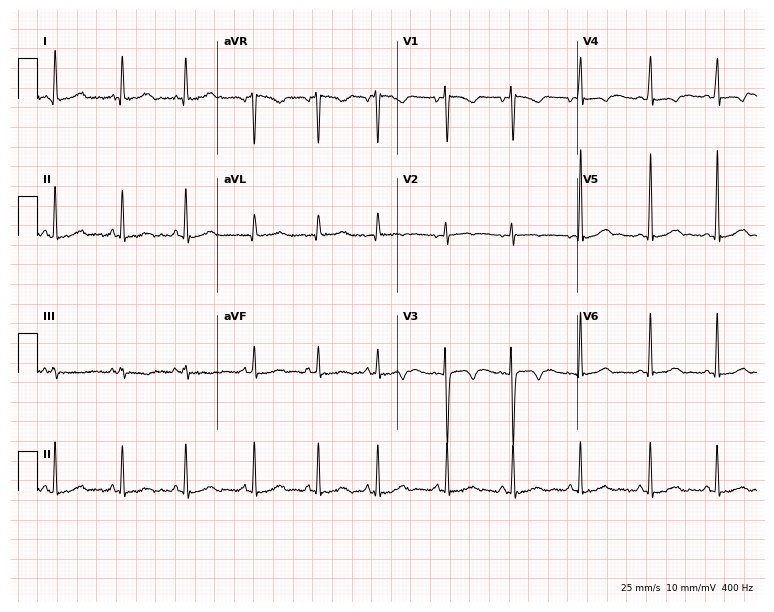
12-lead ECG (7.3-second recording at 400 Hz) from an 18-year-old female. Labelled as a normal ECG.